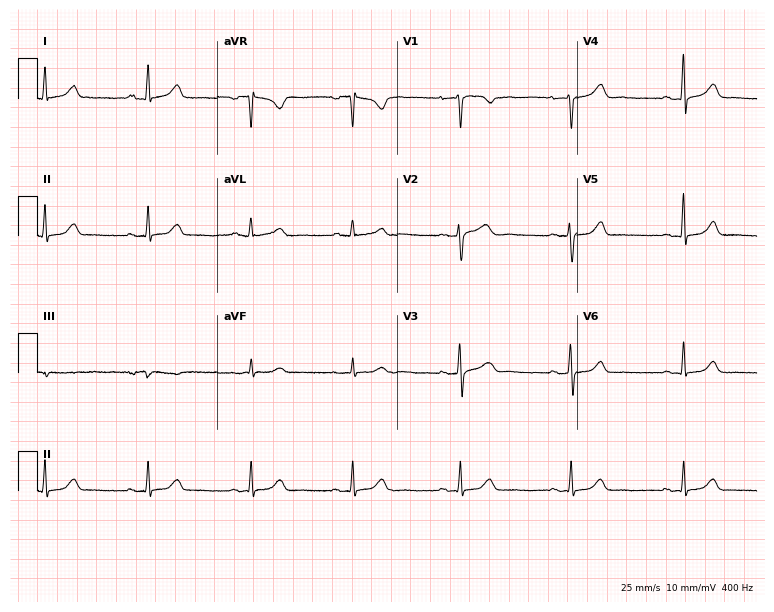
Standard 12-lead ECG recorded from a 36-year-old woman. Read as a normal ECG.